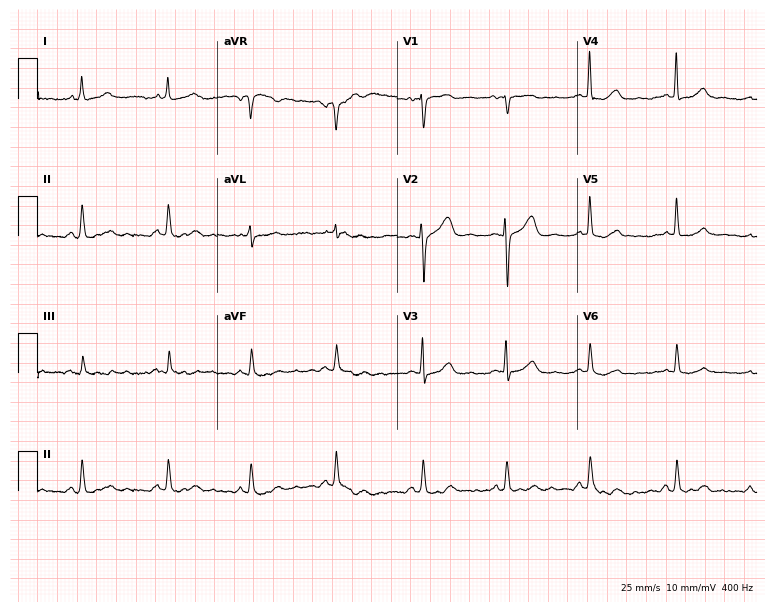
ECG (7.3-second recording at 400 Hz) — a woman, 66 years old. Screened for six findings — first-degree AV block, right bundle branch block (RBBB), left bundle branch block (LBBB), sinus bradycardia, atrial fibrillation (AF), sinus tachycardia — none is recorded.